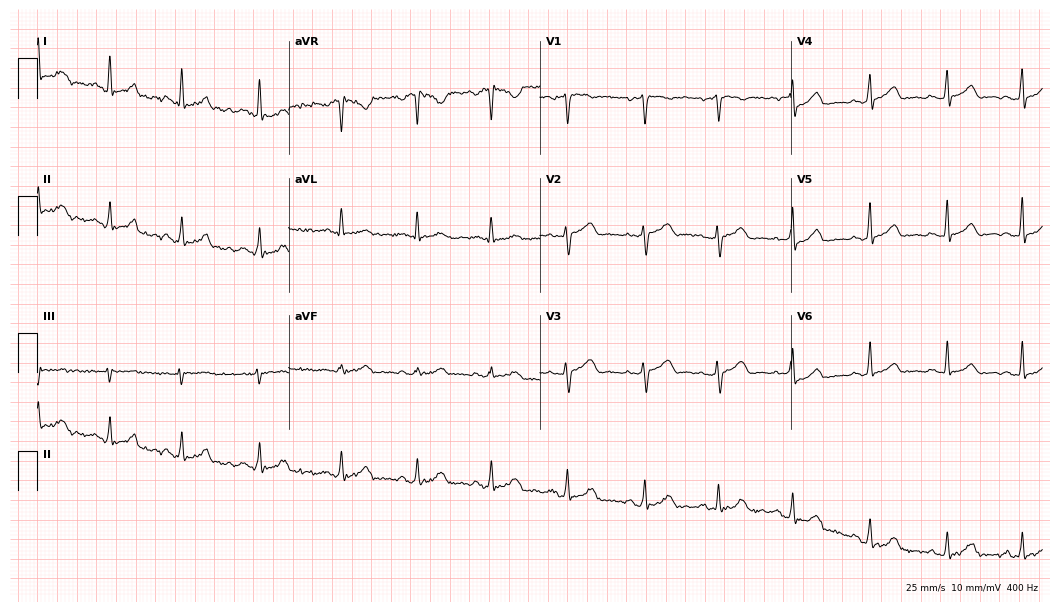
ECG — a 39-year-old woman. Labelled as a normal ECG.